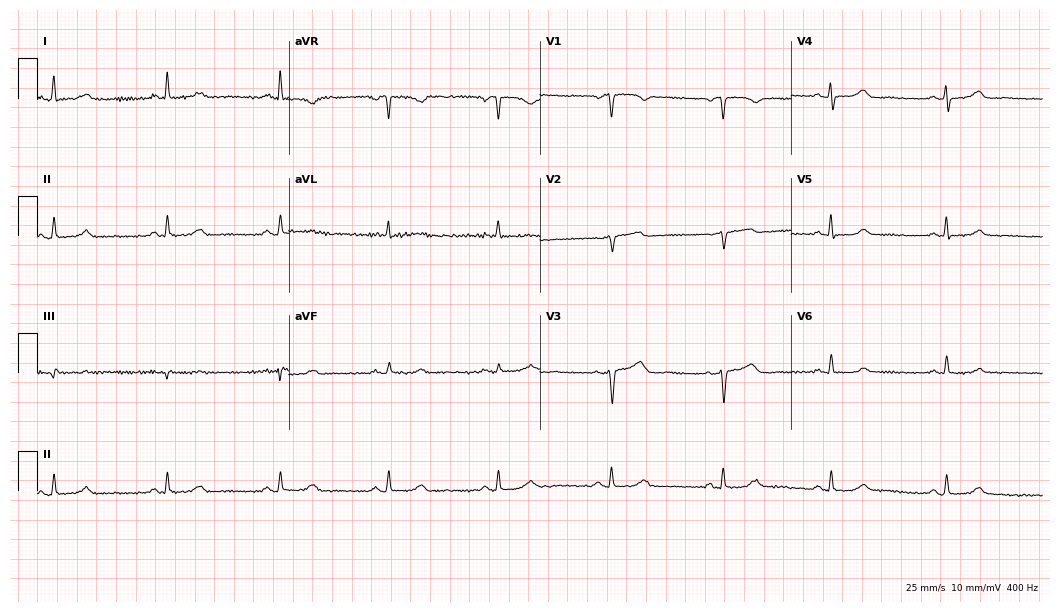
ECG — a 62-year-old female. Findings include sinus bradycardia (a sinus rate of 50 beats per minute or less).